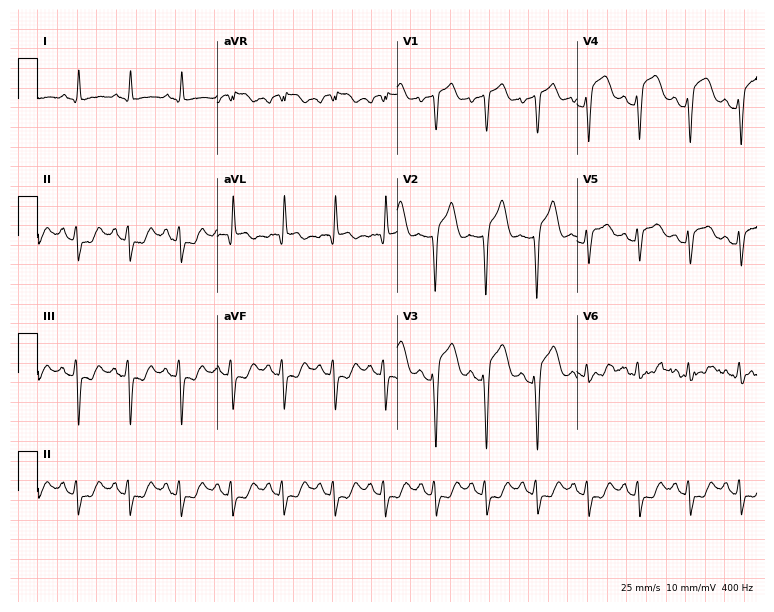
12-lead ECG from a female, 61 years old (7.3-second recording at 400 Hz). Shows sinus tachycardia (a sinus rate of 100 beats per minute or more).